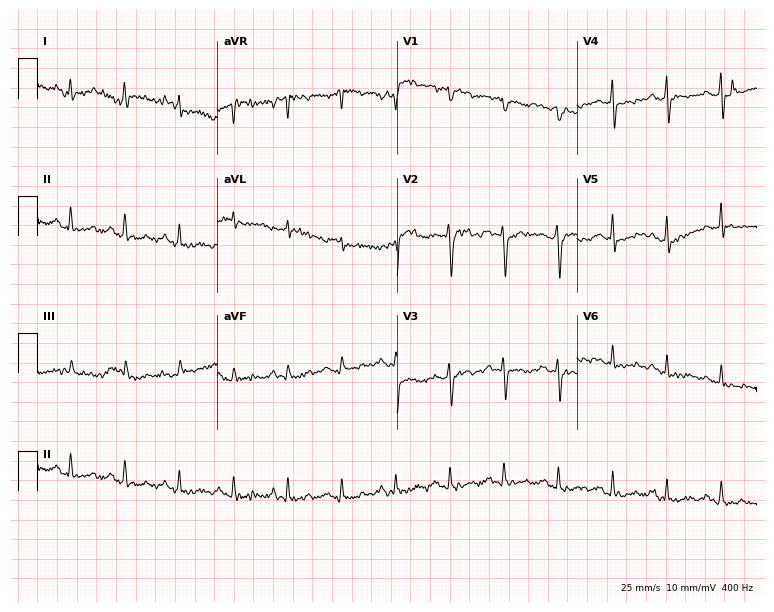
Standard 12-lead ECG recorded from a male patient, 62 years old (7.3-second recording at 400 Hz). The tracing shows sinus tachycardia (a sinus rate of 100 beats per minute or more).